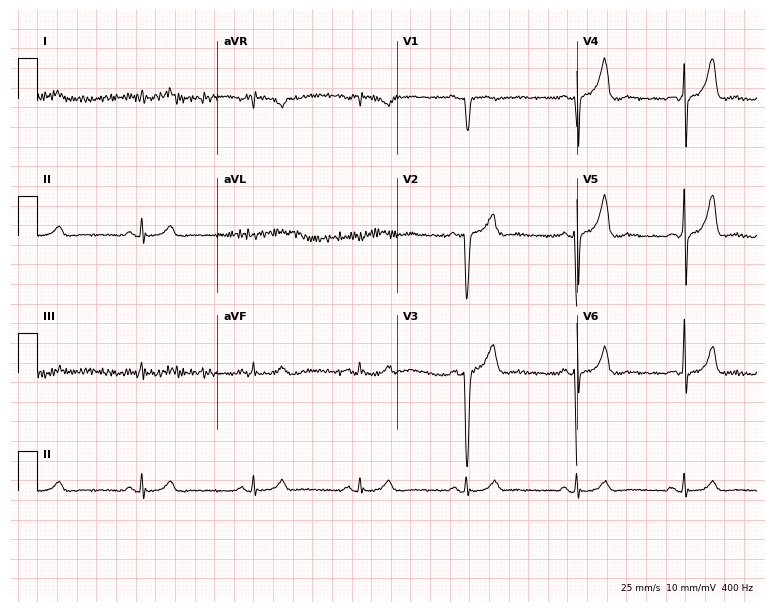
Electrocardiogram, a 62-year-old man. Of the six screened findings (first-degree AV block, right bundle branch block, left bundle branch block, sinus bradycardia, atrial fibrillation, sinus tachycardia), none is recorded.